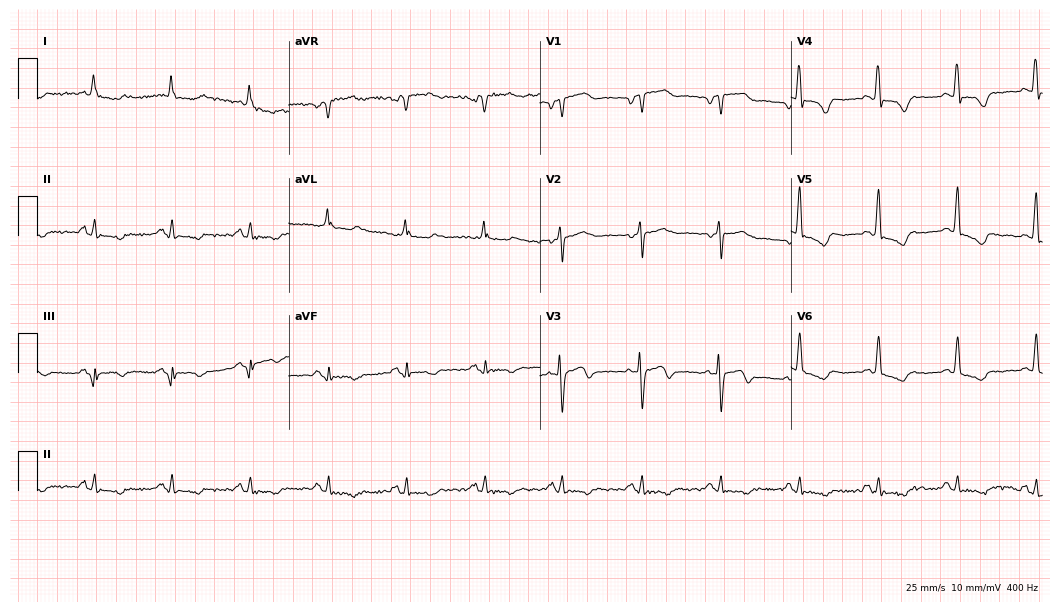
12-lead ECG from a female patient, 75 years old. No first-degree AV block, right bundle branch block, left bundle branch block, sinus bradycardia, atrial fibrillation or sinus tachycardia recorded for this tracing. Findings outside these six are not listed.